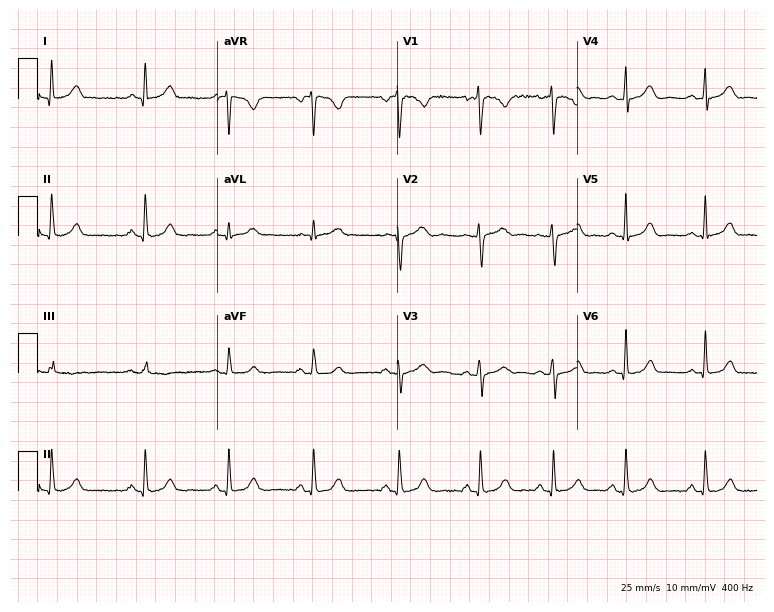
Electrocardiogram (7.3-second recording at 400 Hz), a 29-year-old woman. Of the six screened findings (first-degree AV block, right bundle branch block, left bundle branch block, sinus bradycardia, atrial fibrillation, sinus tachycardia), none is recorded. Findings outside these six are not listed.